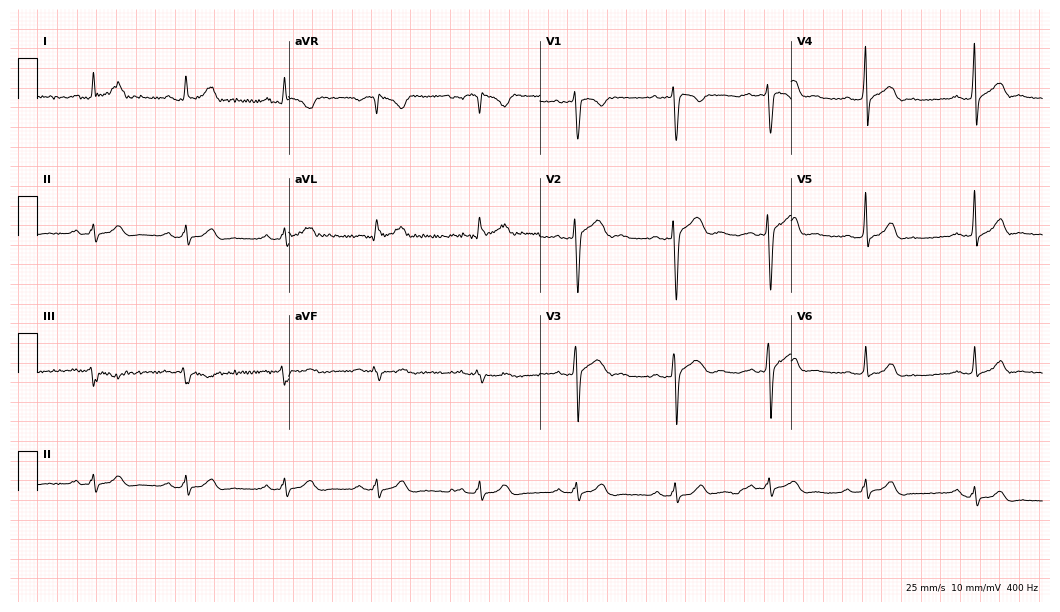
Electrocardiogram, a man, 31 years old. Overall reading on record: normal ECG.